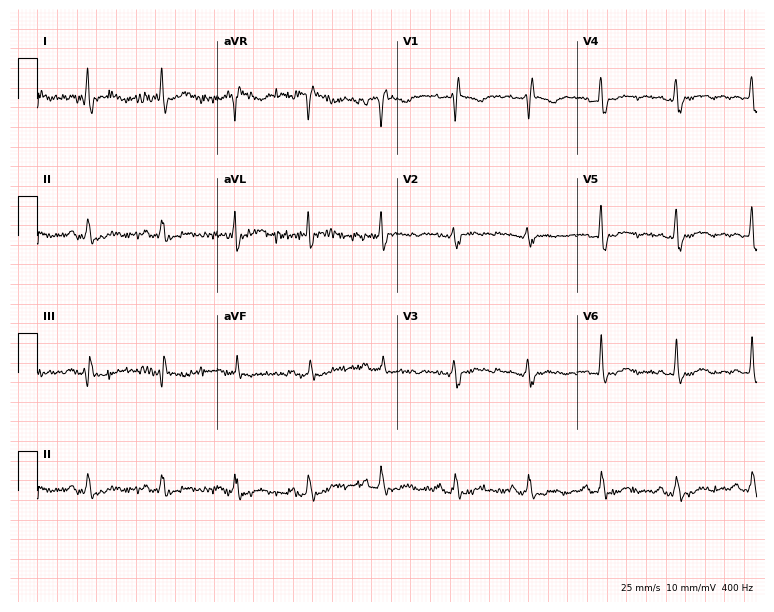
12-lead ECG (7.3-second recording at 400 Hz) from a woman, 77 years old. Screened for six findings — first-degree AV block, right bundle branch block, left bundle branch block, sinus bradycardia, atrial fibrillation, sinus tachycardia — none is recorded.